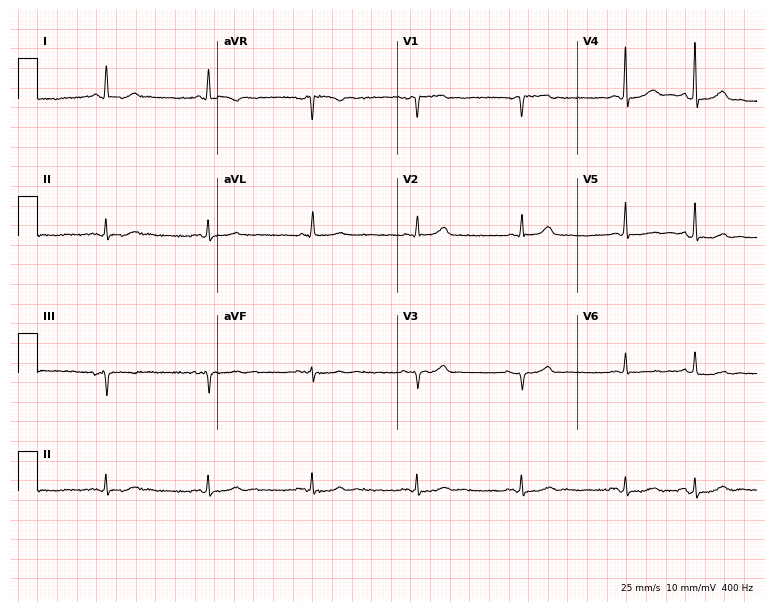
12-lead ECG (7.3-second recording at 400 Hz) from a 76-year-old man. Screened for six findings — first-degree AV block, right bundle branch block (RBBB), left bundle branch block (LBBB), sinus bradycardia, atrial fibrillation (AF), sinus tachycardia — none is recorded. Findings outside these six are not listed.